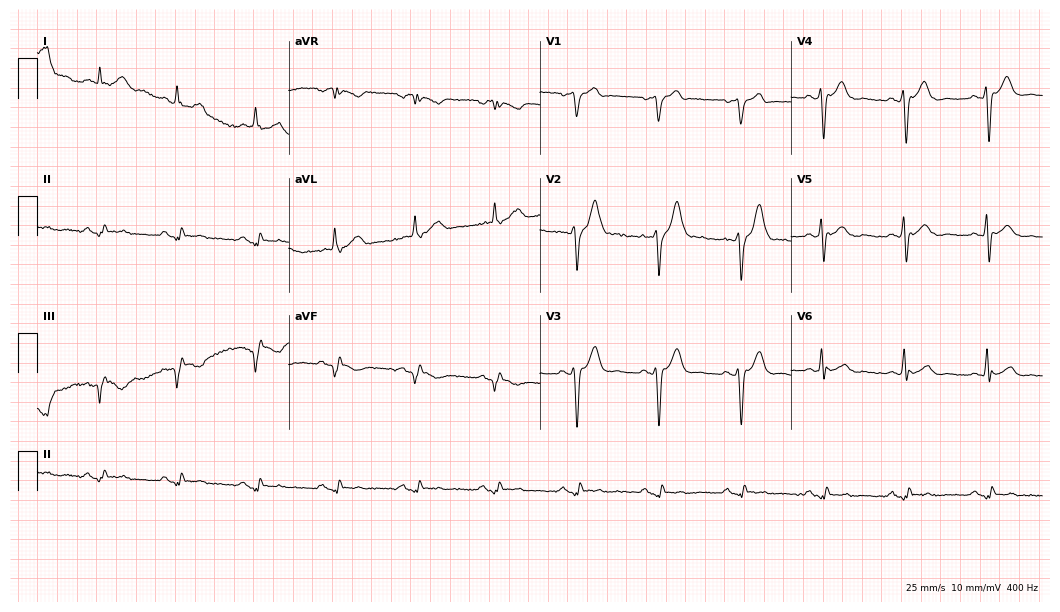
12-lead ECG from a 57-year-old male (10.2-second recording at 400 Hz). No first-degree AV block, right bundle branch block, left bundle branch block, sinus bradycardia, atrial fibrillation or sinus tachycardia recorded for this tracing. Only these six findings were labelled.